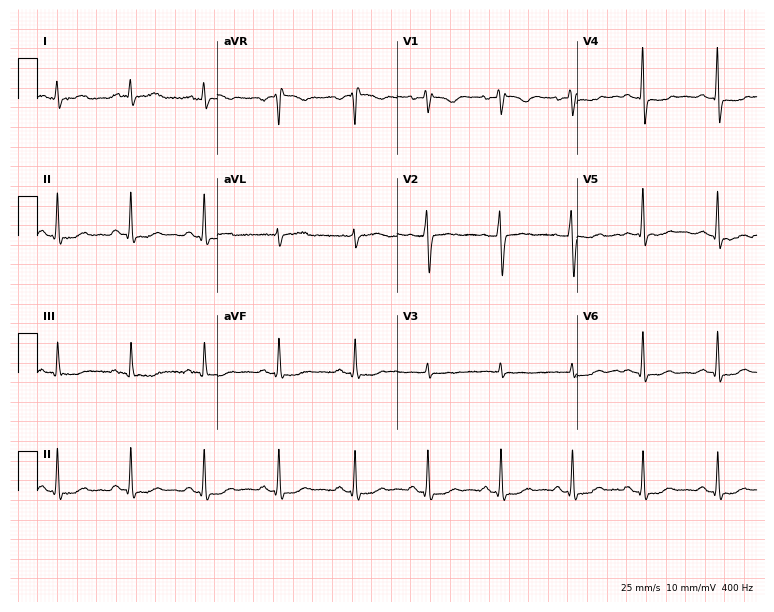
12-lead ECG from a 39-year-old female patient (7.3-second recording at 400 Hz). No first-degree AV block, right bundle branch block (RBBB), left bundle branch block (LBBB), sinus bradycardia, atrial fibrillation (AF) or sinus tachycardia recorded for this tracing.